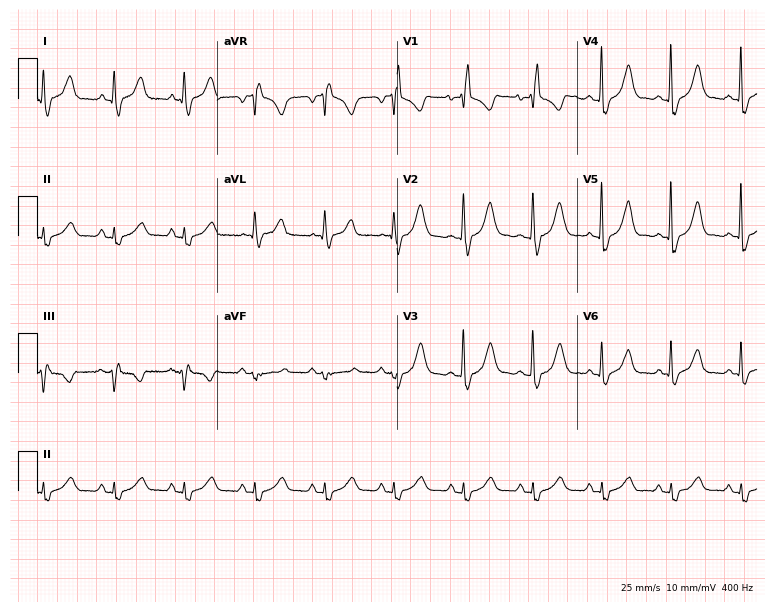
Resting 12-lead electrocardiogram. Patient: a female, 44 years old. None of these six findings is recorded: first-degree AV block, right bundle branch block, left bundle branch block, sinus bradycardia, atrial fibrillation, sinus tachycardia.